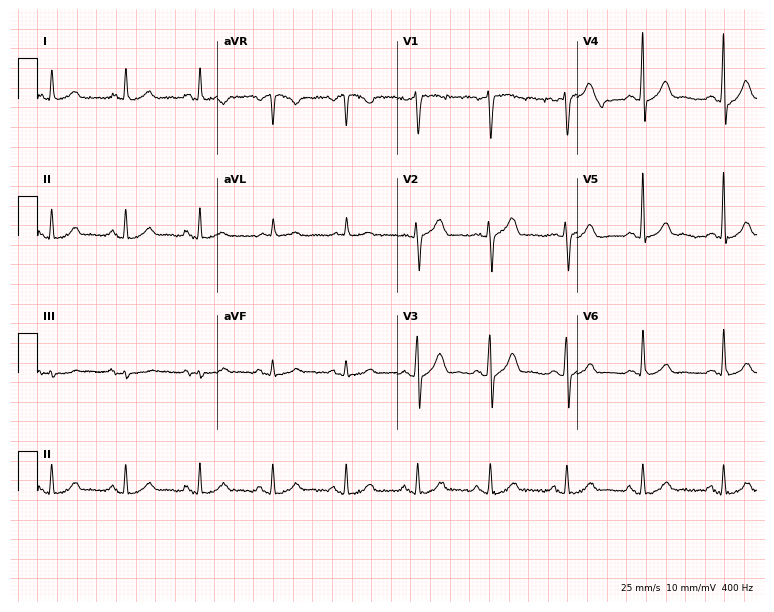
ECG (7.3-second recording at 400 Hz) — a 58-year-old male. Labelled as a normal ECG.